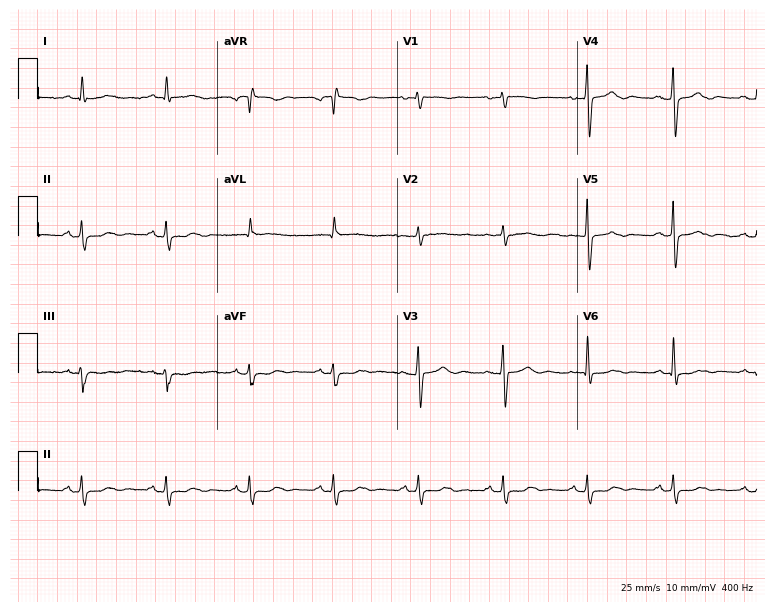
Resting 12-lead electrocardiogram. Patient: a woman, 65 years old. None of these six findings is recorded: first-degree AV block, right bundle branch block (RBBB), left bundle branch block (LBBB), sinus bradycardia, atrial fibrillation (AF), sinus tachycardia.